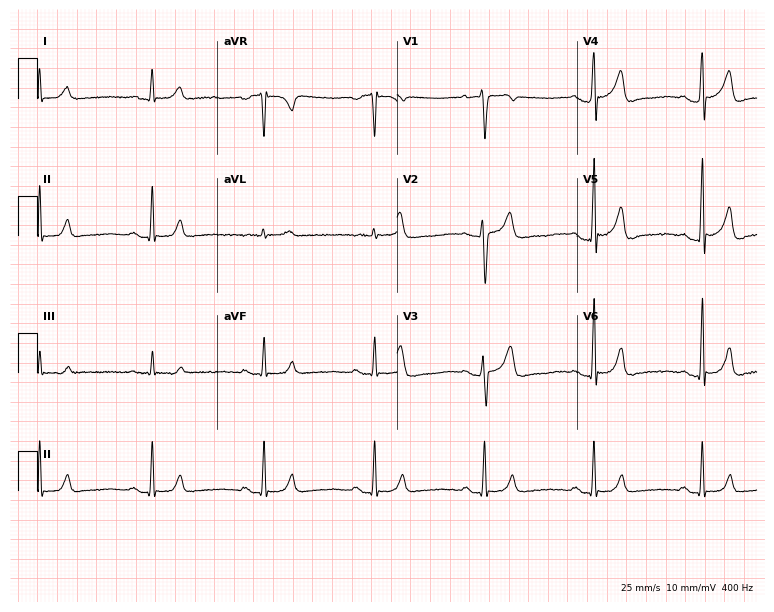
Resting 12-lead electrocardiogram. Patient: a male, 41 years old. Read as a normal ECG.